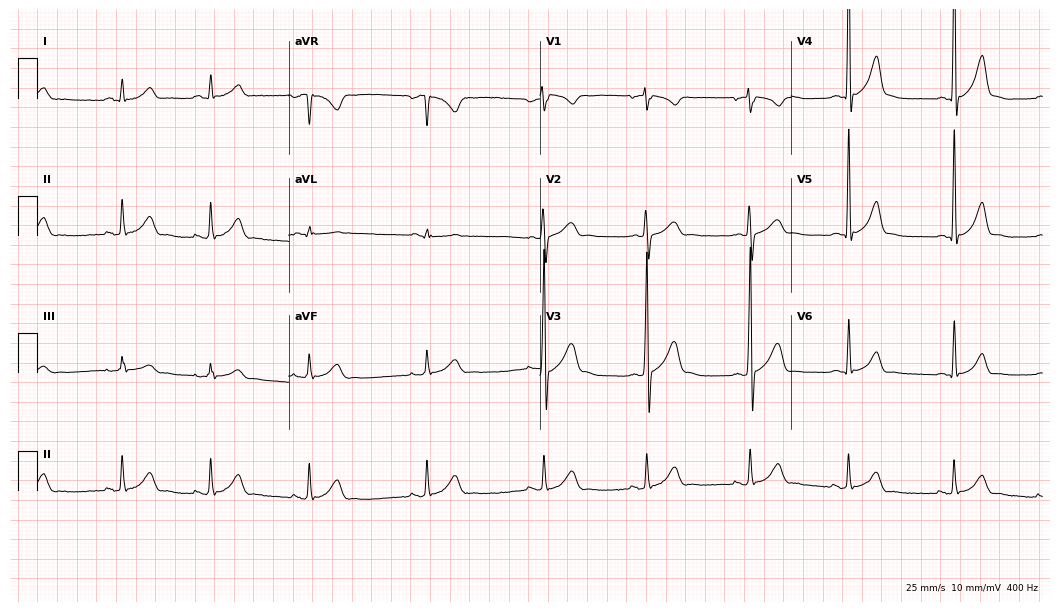
Electrocardiogram, a 17-year-old male patient. Overall reading on record: normal ECG.